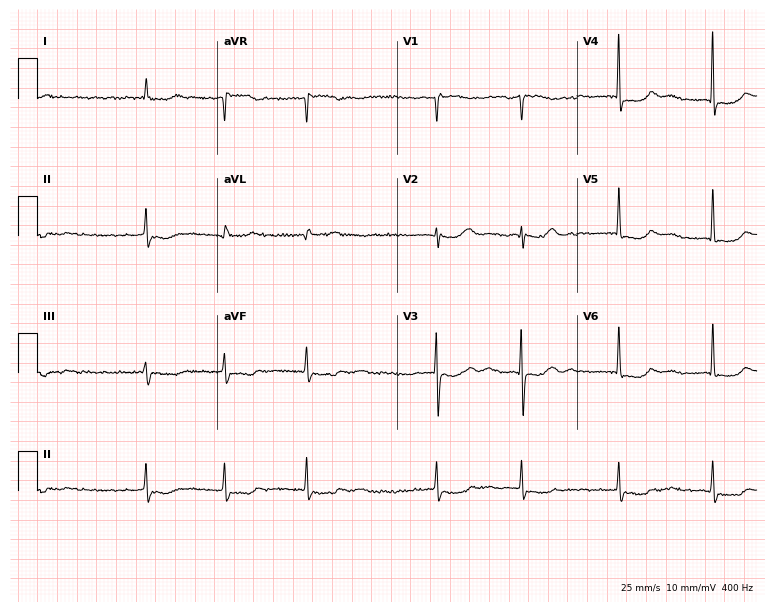
ECG — a female patient, 83 years old. Findings include atrial fibrillation.